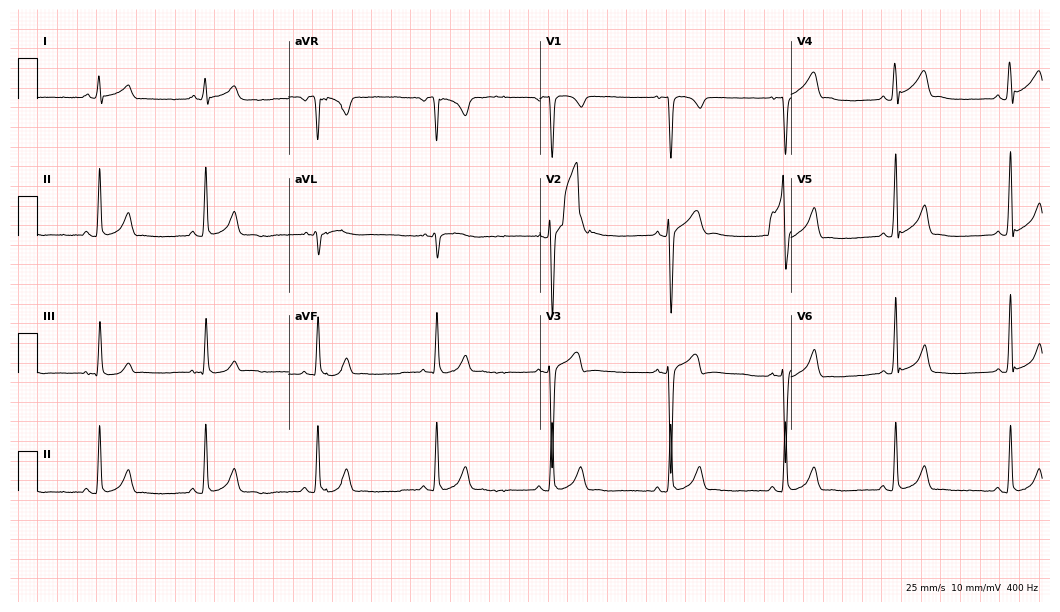
Resting 12-lead electrocardiogram (10.2-second recording at 400 Hz). Patient: a 22-year-old male. None of these six findings is recorded: first-degree AV block, right bundle branch block, left bundle branch block, sinus bradycardia, atrial fibrillation, sinus tachycardia. Findings outside these six are not listed.